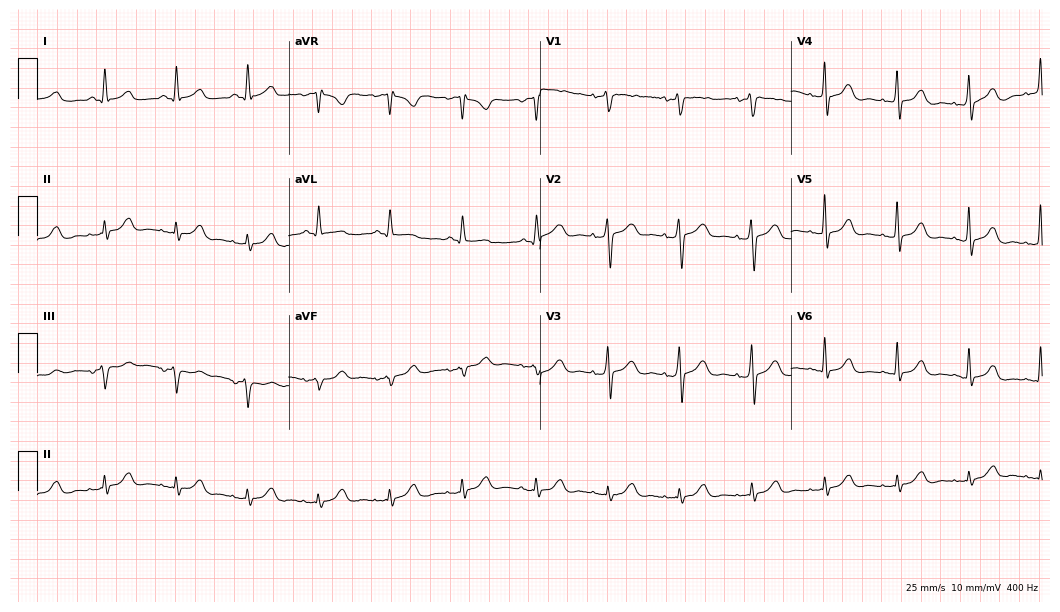
Standard 12-lead ECG recorded from a 55-year-old female patient (10.2-second recording at 400 Hz). Read as a normal ECG.